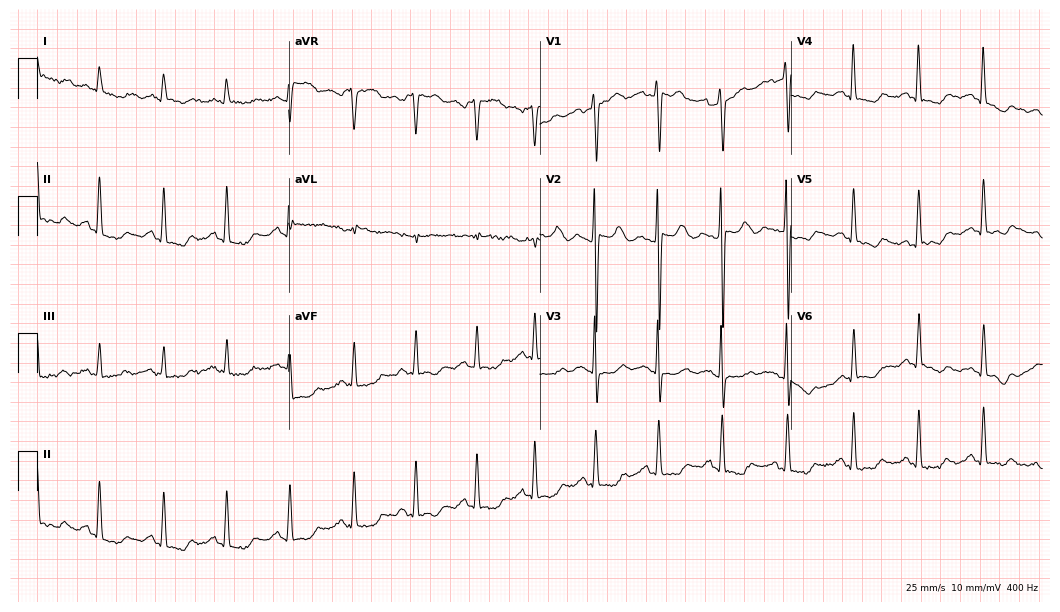
Resting 12-lead electrocardiogram (10.2-second recording at 400 Hz). Patient: a female, 65 years old. None of these six findings is recorded: first-degree AV block, right bundle branch block, left bundle branch block, sinus bradycardia, atrial fibrillation, sinus tachycardia.